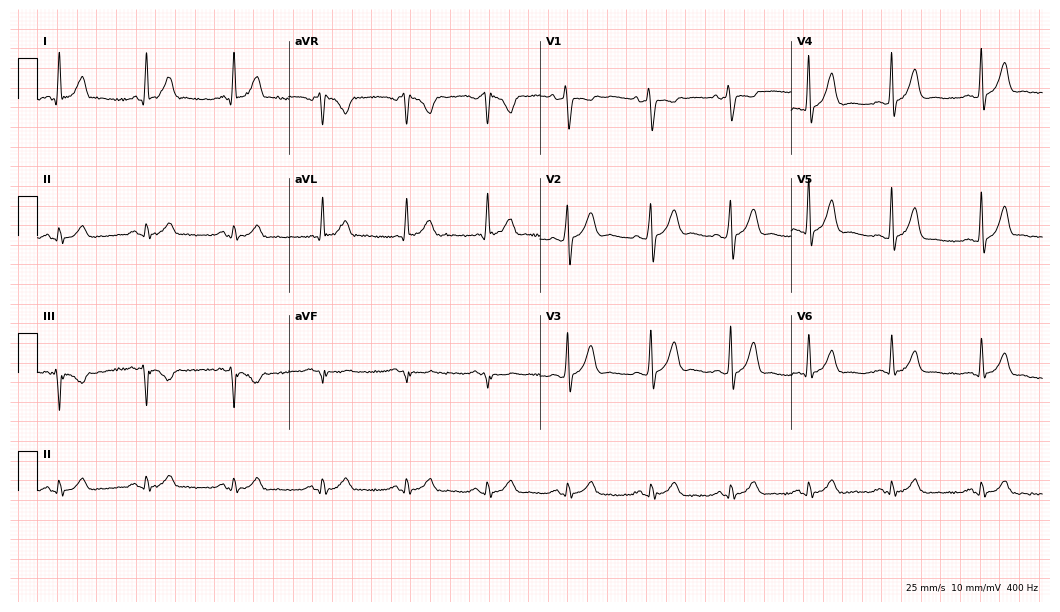
Resting 12-lead electrocardiogram. Patient: a male, 28 years old. Read as a normal ECG.